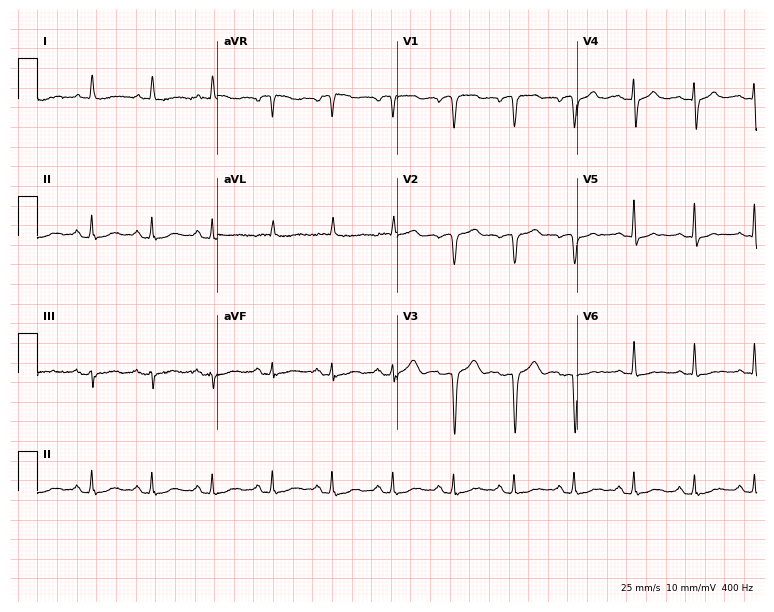
Electrocardiogram (7.3-second recording at 400 Hz), an 84-year-old female. Of the six screened findings (first-degree AV block, right bundle branch block, left bundle branch block, sinus bradycardia, atrial fibrillation, sinus tachycardia), none is recorded. Findings outside these six are not listed.